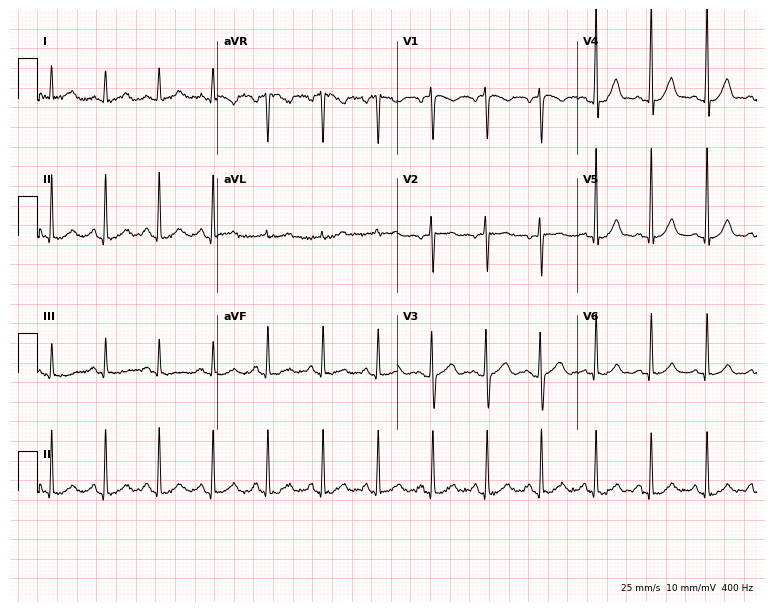
Standard 12-lead ECG recorded from a female patient, 33 years old (7.3-second recording at 400 Hz). None of these six findings is recorded: first-degree AV block, right bundle branch block, left bundle branch block, sinus bradycardia, atrial fibrillation, sinus tachycardia.